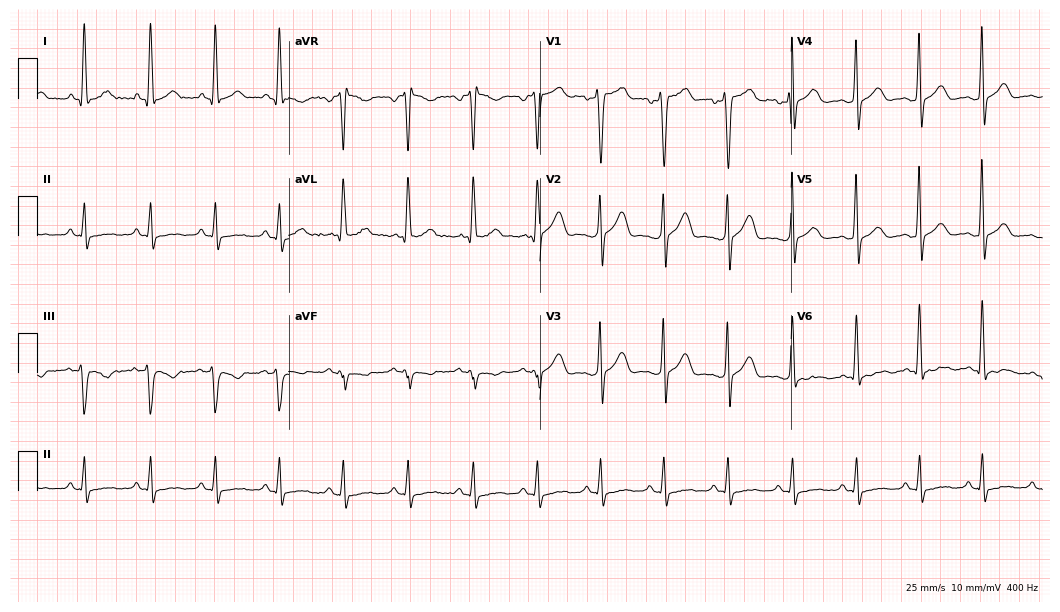
12-lead ECG from a male patient, 43 years old. Screened for six findings — first-degree AV block, right bundle branch block, left bundle branch block, sinus bradycardia, atrial fibrillation, sinus tachycardia — none is recorded. Other findings, if any, are not listed.